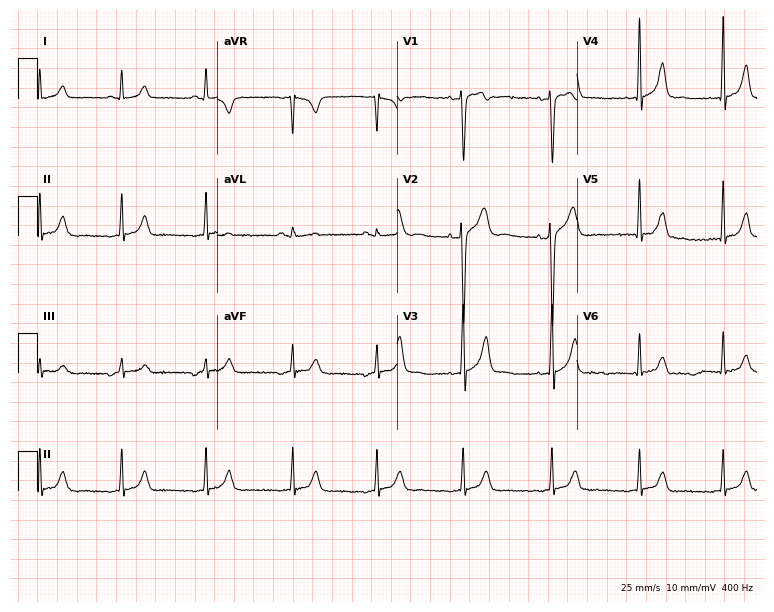
Electrocardiogram, a woman, 33 years old. Overall reading on record: normal ECG.